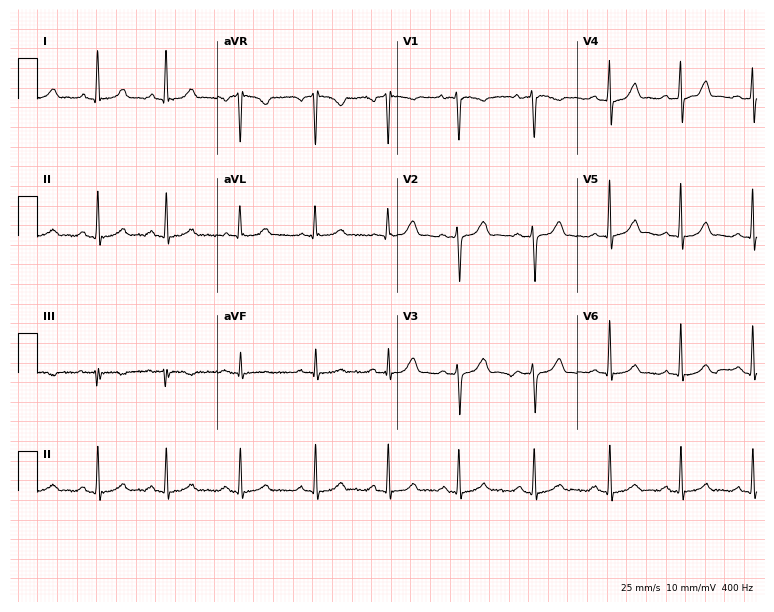
Resting 12-lead electrocardiogram. Patient: a female, 22 years old. Read as a normal ECG.